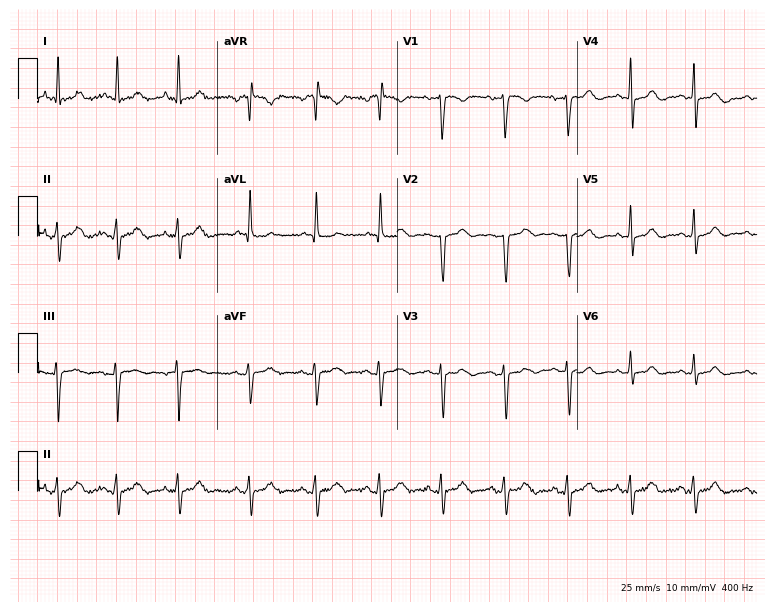
Standard 12-lead ECG recorded from a 49-year-old woman (7.3-second recording at 400 Hz). None of these six findings is recorded: first-degree AV block, right bundle branch block, left bundle branch block, sinus bradycardia, atrial fibrillation, sinus tachycardia.